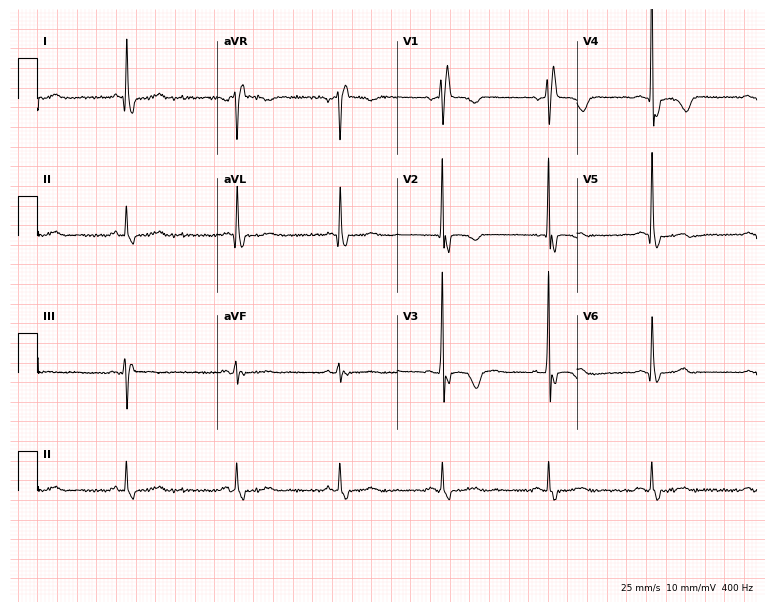
Electrocardiogram (7.3-second recording at 400 Hz), a 75-year-old woman. Interpretation includes right bundle branch block.